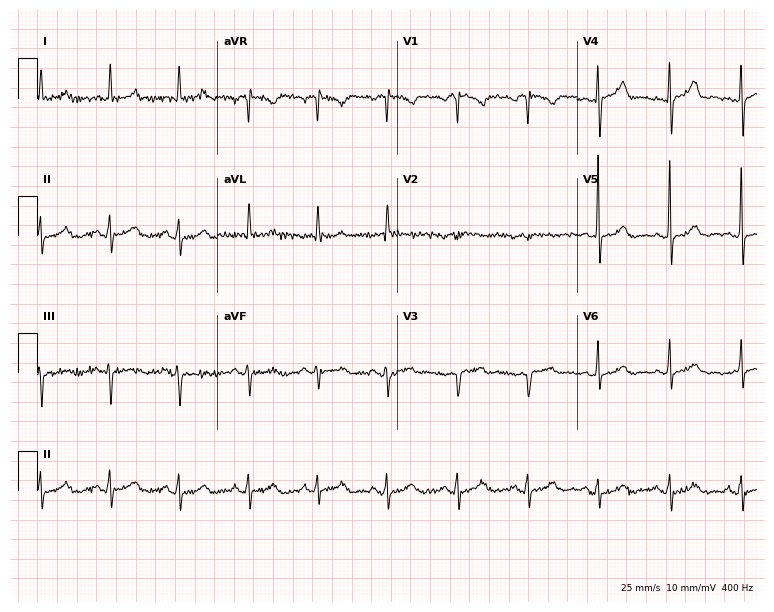
Electrocardiogram (7.3-second recording at 400 Hz), a 69-year-old female. Of the six screened findings (first-degree AV block, right bundle branch block, left bundle branch block, sinus bradycardia, atrial fibrillation, sinus tachycardia), none is recorded. Only these six findings were labelled.